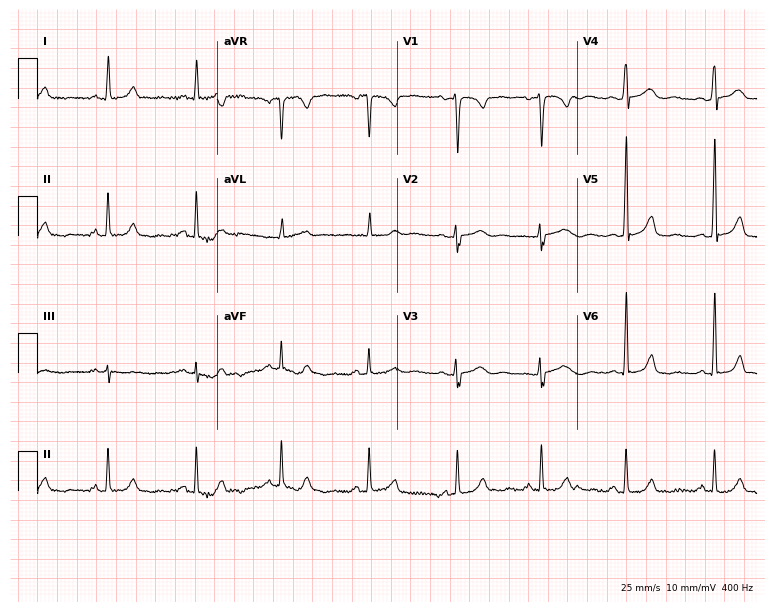
12-lead ECG (7.3-second recording at 400 Hz) from a female patient, 34 years old. Labelled as a normal ECG.